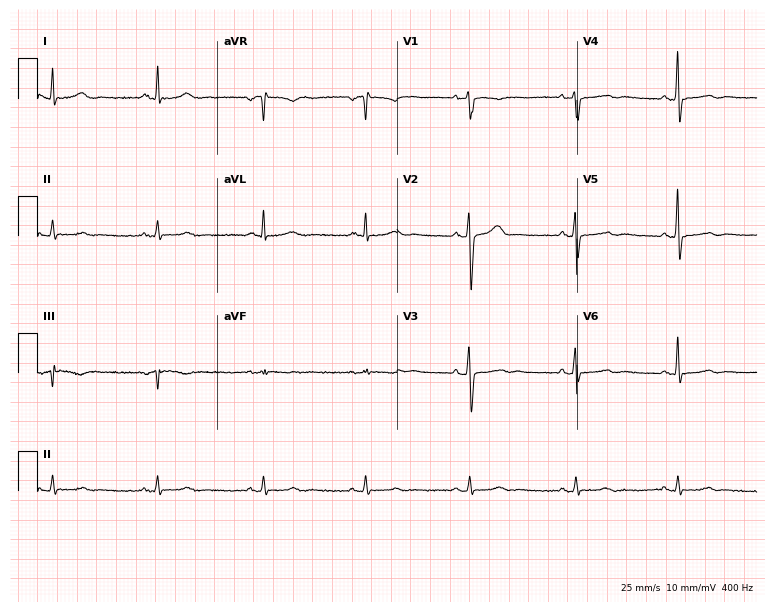
12-lead ECG from a 57-year-old male. No first-degree AV block, right bundle branch block, left bundle branch block, sinus bradycardia, atrial fibrillation or sinus tachycardia recorded for this tracing. Findings outside these six are not listed.